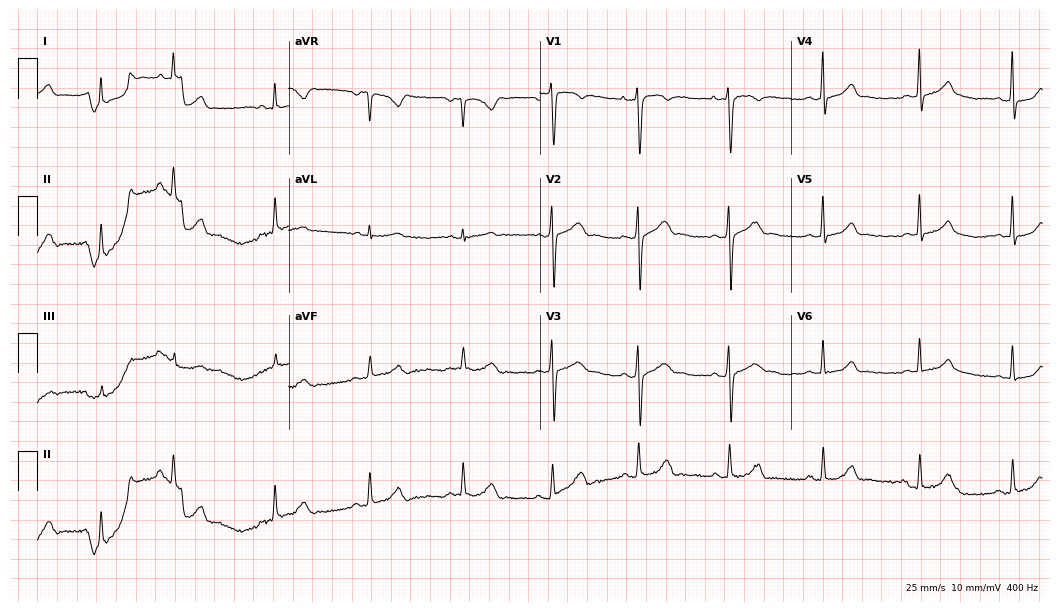
12-lead ECG from a 29-year-old woman. Labelled as a normal ECG.